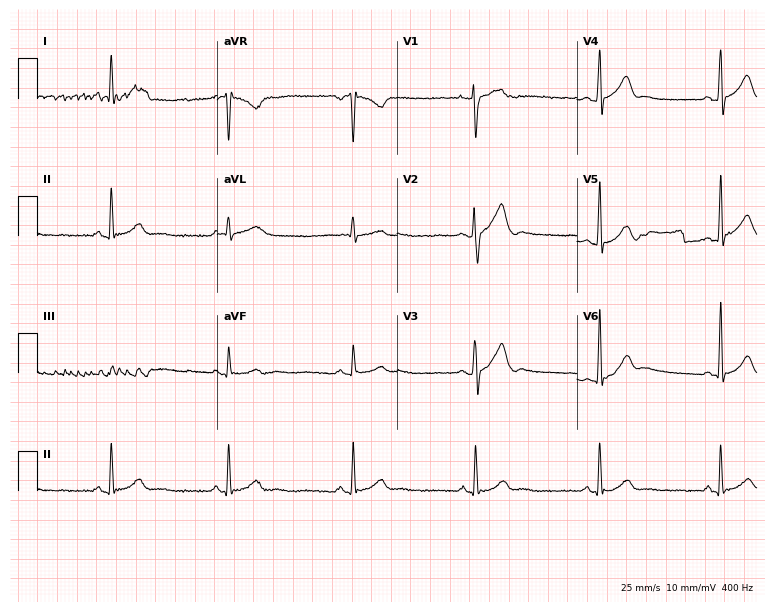
12-lead ECG from a male, 33 years old. Shows sinus bradycardia (a sinus rate of 50 beats per minute or less).